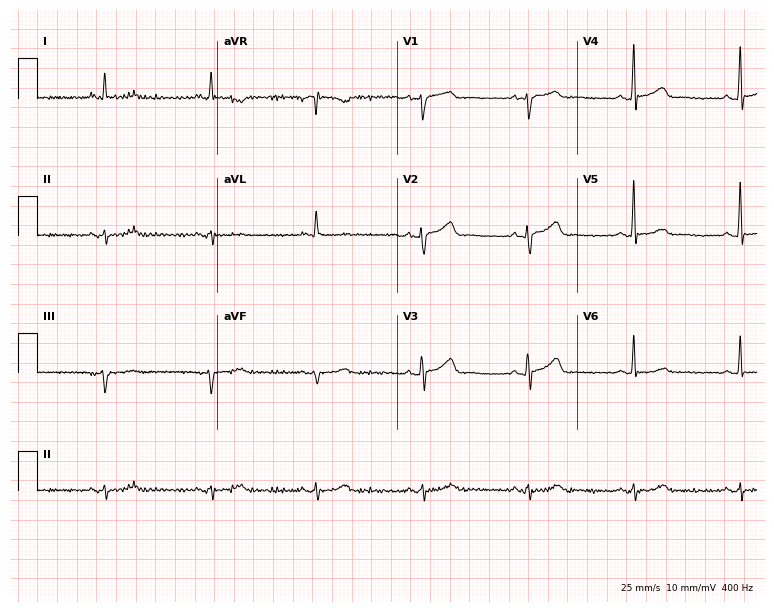
ECG (7.3-second recording at 400 Hz) — a male patient, 75 years old. Screened for six findings — first-degree AV block, right bundle branch block (RBBB), left bundle branch block (LBBB), sinus bradycardia, atrial fibrillation (AF), sinus tachycardia — none is recorded.